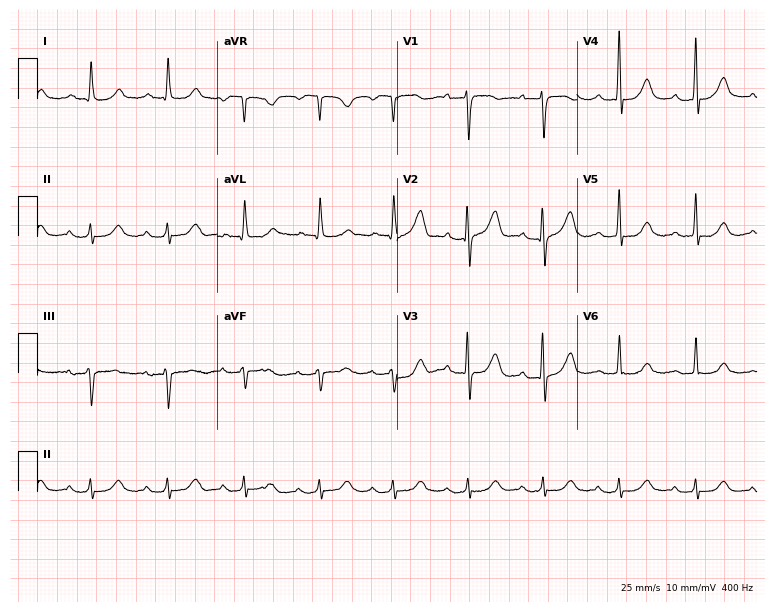
Resting 12-lead electrocardiogram. Patient: a male, 80 years old. Read as a normal ECG.